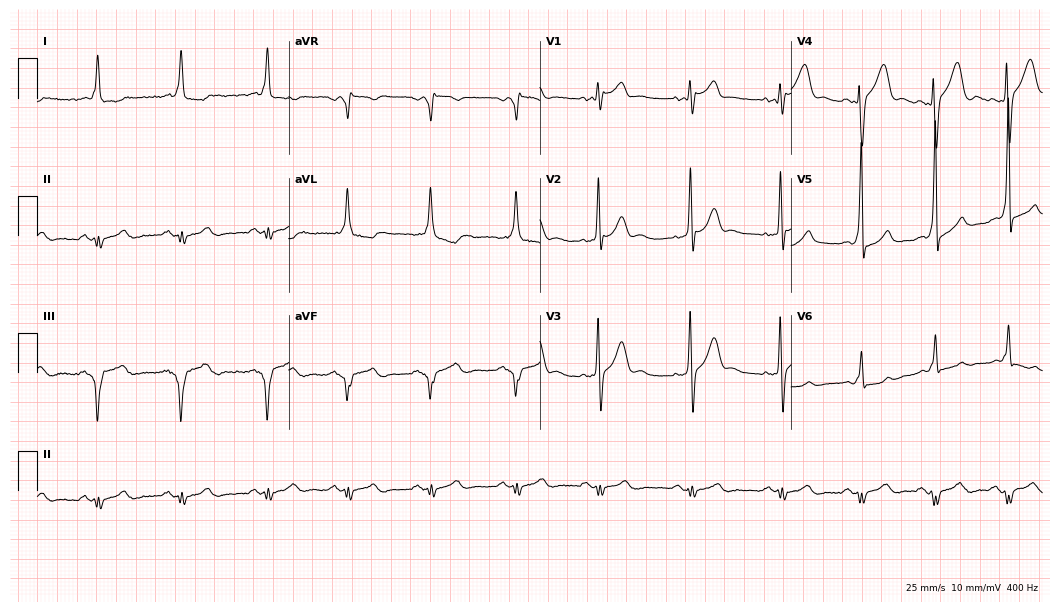
Standard 12-lead ECG recorded from a 24-year-old man (10.2-second recording at 400 Hz). None of these six findings is recorded: first-degree AV block, right bundle branch block, left bundle branch block, sinus bradycardia, atrial fibrillation, sinus tachycardia. Other findings, if any, are not listed.